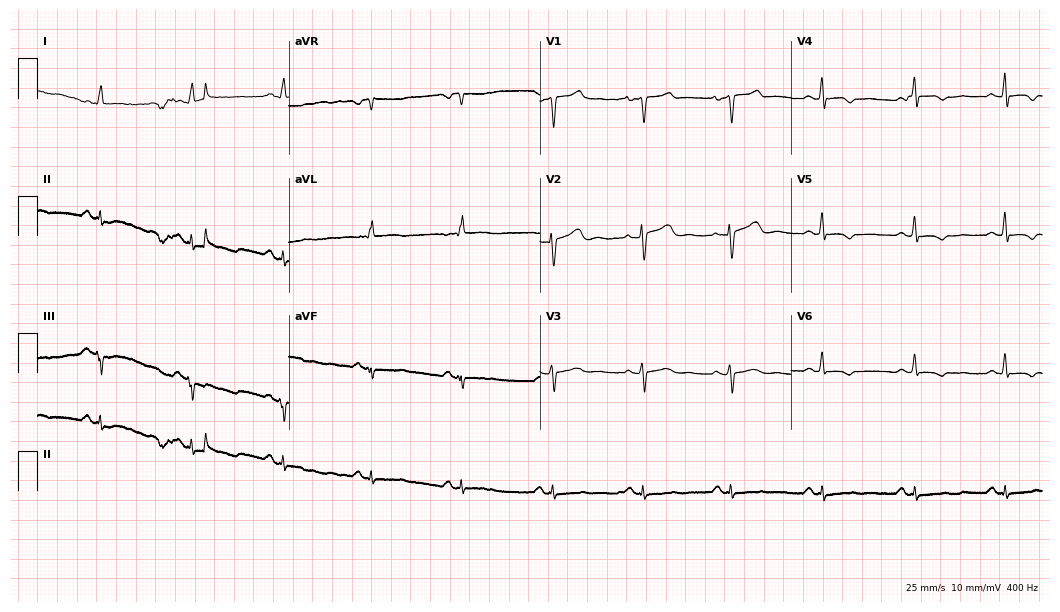
Electrocardiogram (10.2-second recording at 400 Hz), a 45-year-old female patient. Of the six screened findings (first-degree AV block, right bundle branch block (RBBB), left bundle branch block (LBBB), sinus bradycardia, atrial fibrillation (AF), sinus tachycardia), none is recorded. Findings outside these six are not listed.